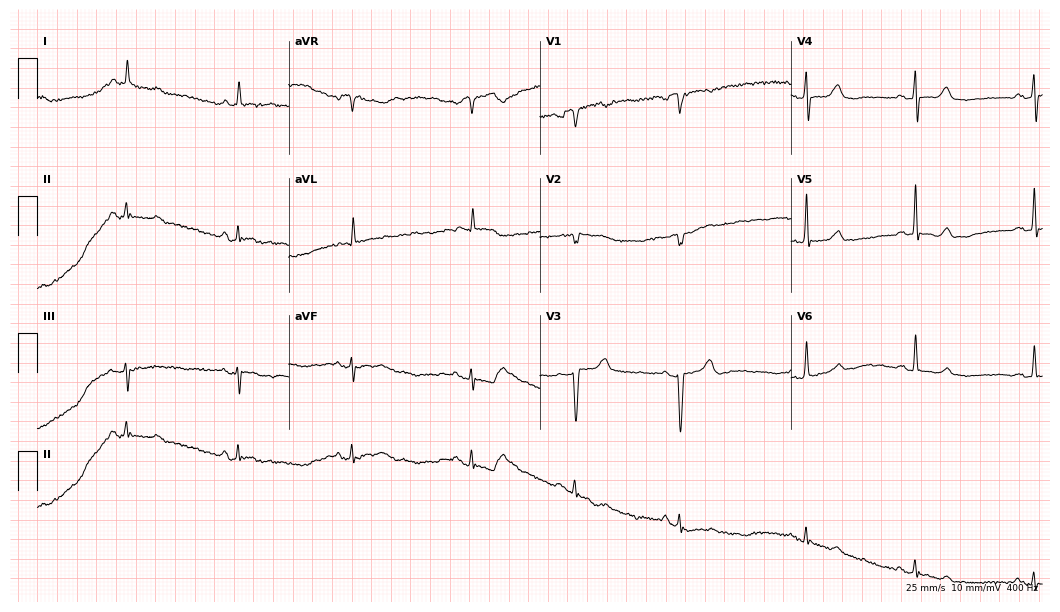
12-lead ECG from an 84-year-old woman. Labelled as a normal ECG.